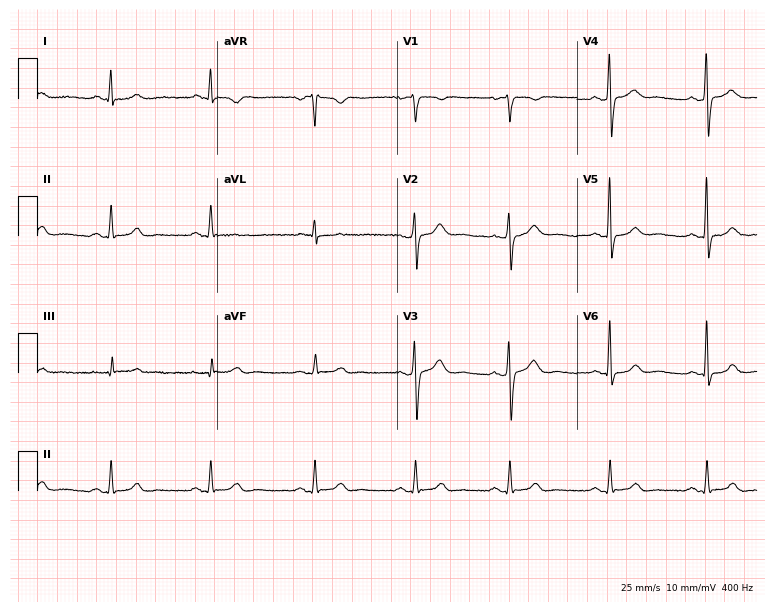
12-lead ECG from a woman, 36 years old. No first-degree AV block, right bundle branch block (RBBB), left bundle branch block (LBBB), sinus bradycardia, atrial fibrillation (AF) or sinus tachycardia recorded for this tracing. Other findings, if any, are not listed.